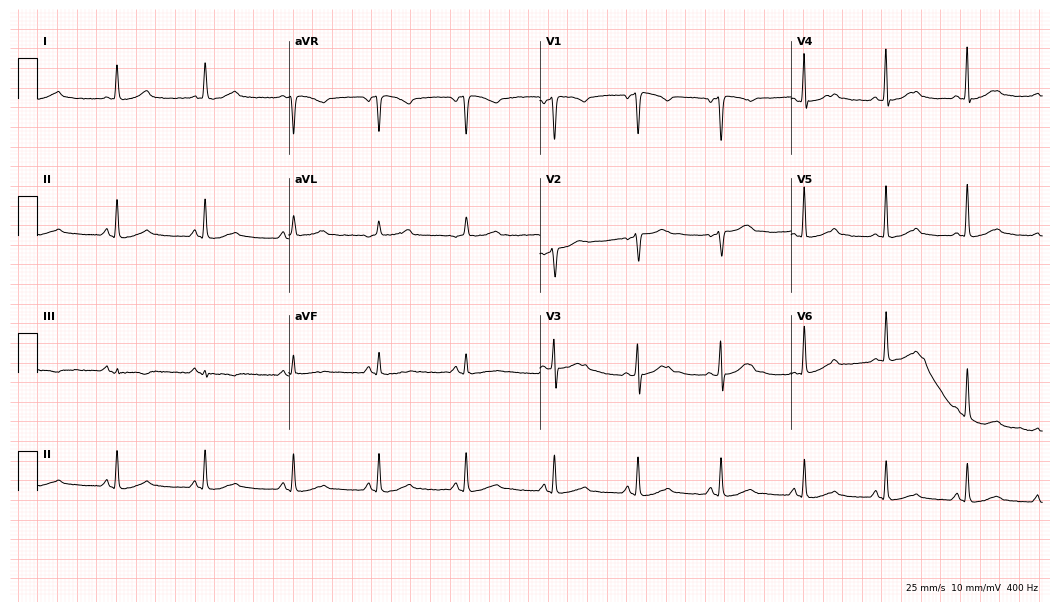
Standard 12-lead ECG recorded from a woman, 43 years old (10.2-second recording at 400 Hz). None of these six findings is recorded: first-degree AV block, right bundle branch block, left bundle branch block, sinus bradycardia, atrial fibrillation, sinus tachycardia. Only these six findings were labelled.